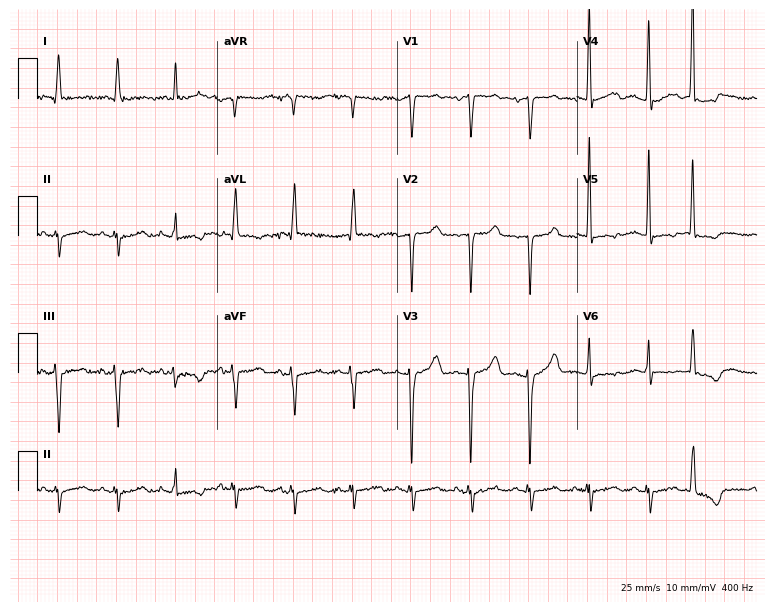
Electrocardiogram (7.3-second recording at 400 Hz), a man, 79 years old. Of the six screened findings (first-degree AV block, right bundle branch block, left bundle branch block, sinus bradycardia, atrial fibrillation, sinus tachycardia), none is recorded.